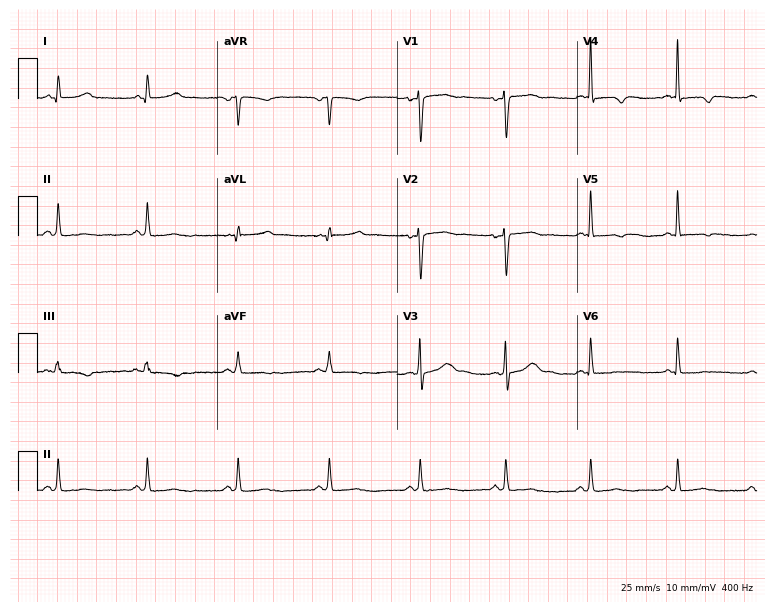
ECG — a woman, 34 years old. Screened for six findings — first-degree AV block, right bundle branch block (RBBB), left bundle branch block (LBBB), sinus bradycardia, atrial fibrillation (AF), sinus tachycardia — none is recorded. Only these six findings were labelled.